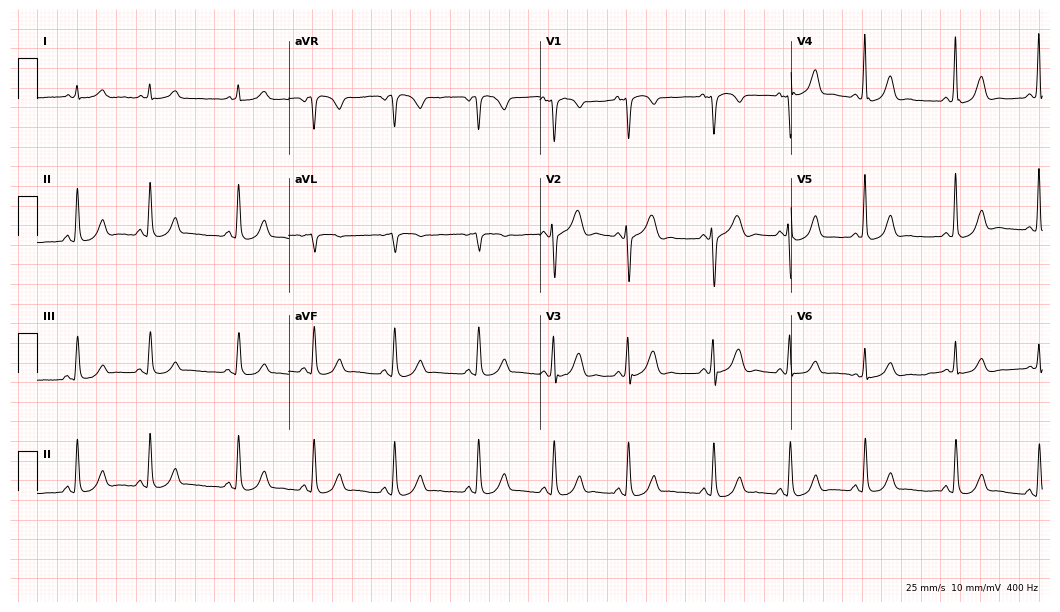
Standard 12-lead ECG recorded from a male, 65 years old (10.2-second recording at 400 Hz). Read as a normal ECG.